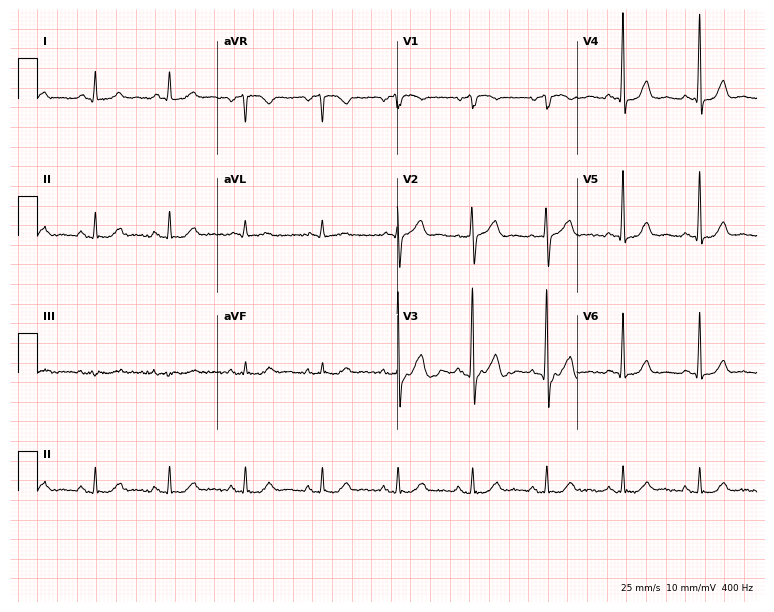
12-lead ECG from a 71-year-old female patient (7.3-second recording at 400 Hz). Recorded interpretation: within normal limits.